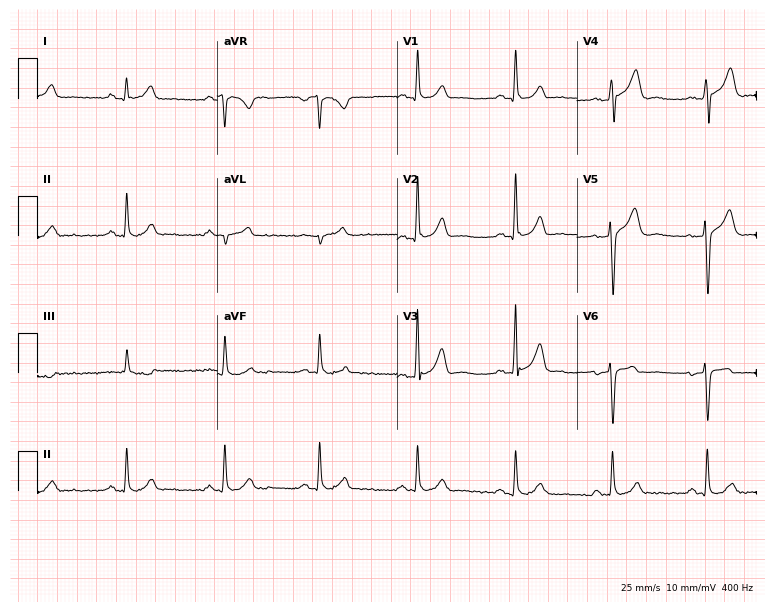
Standard 12-lead ECG recorded from a male, 40 years old (7.3-second recording at 400 Hz). None of these six findings is recorded: first-degree AV block, right bundle branch block (RBBB), left bundle branch block (LBBB), sinus bradycardia, atrial fibrillation (AF), sinus tachycardia.